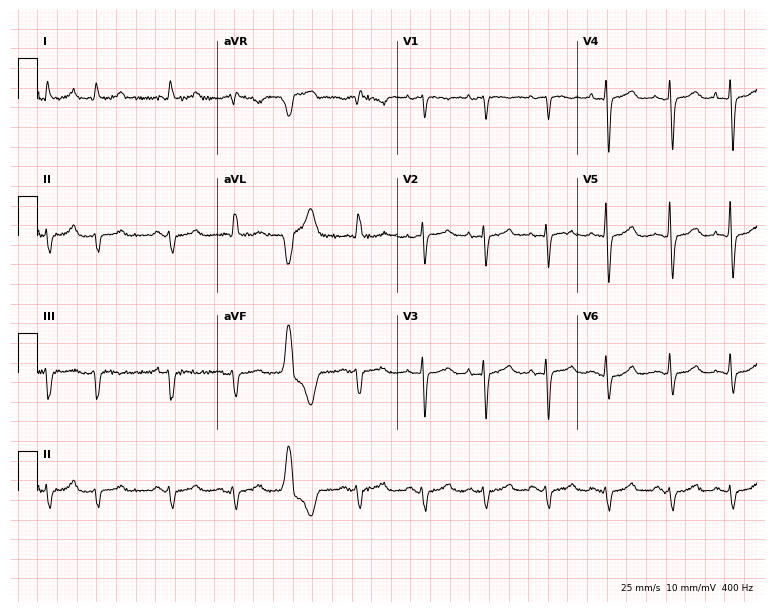
Electrocardiogram, a 65-year-old female. Of the six screened findings (first-degree AV block, right bundle branch block (RBBB), left bundle branch block (LBBB), sinus bradycardia, atrial fibrillation (AF), sinus tachycardia), none is recorded.